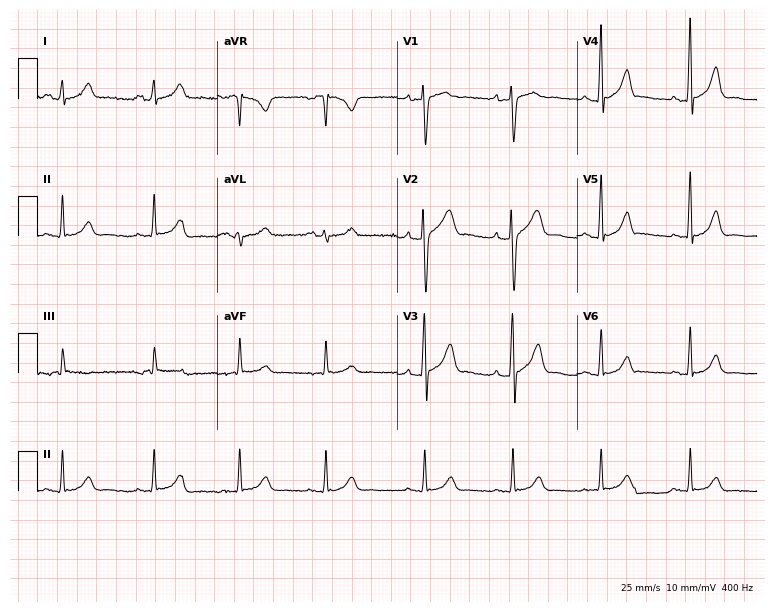
12-lead ECG from a 30-year-old male patient (7.3-second recording at 400 Hz). Recorded interpretation: within normal limits.